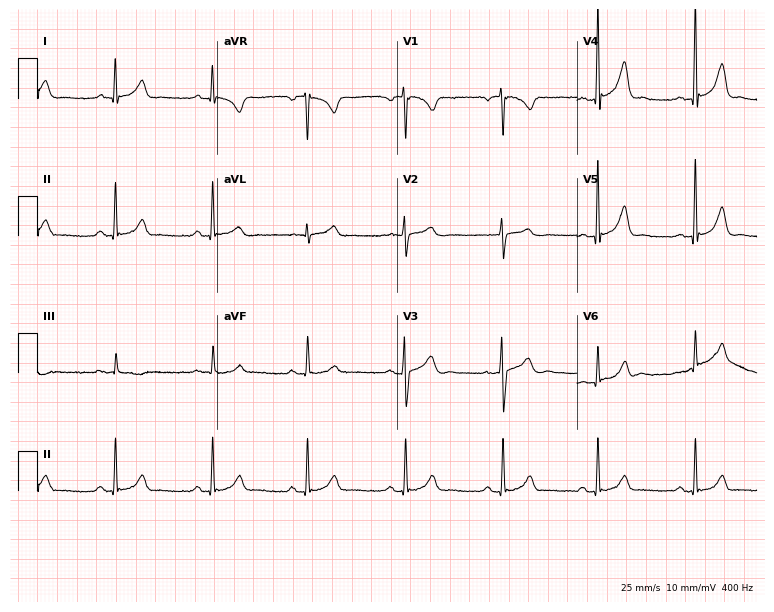
12-lead ECG (7.3-second recording at 400 Hz) from a 47-year-old male. Labelled as a normal ECG.